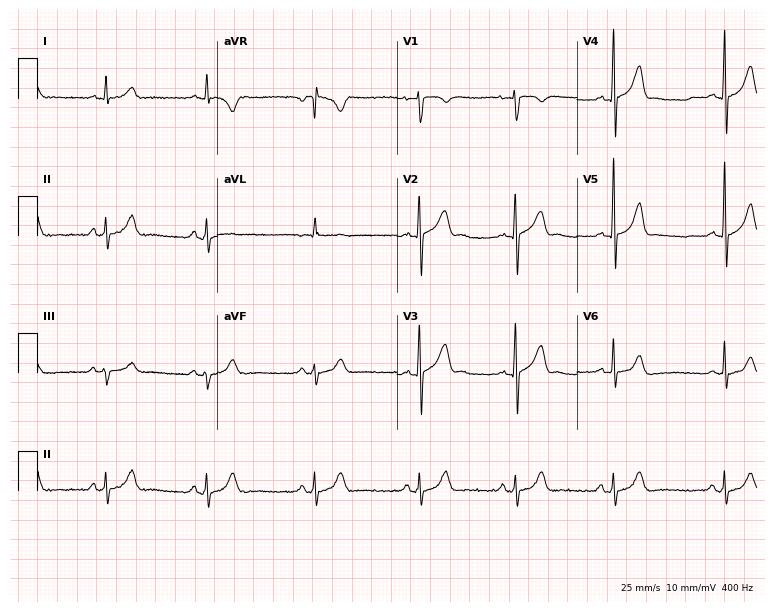
12-lead ECG (7.3-second recording at 400 Hz) from a male patient, 18 years old. Labelled as a normal ECG.